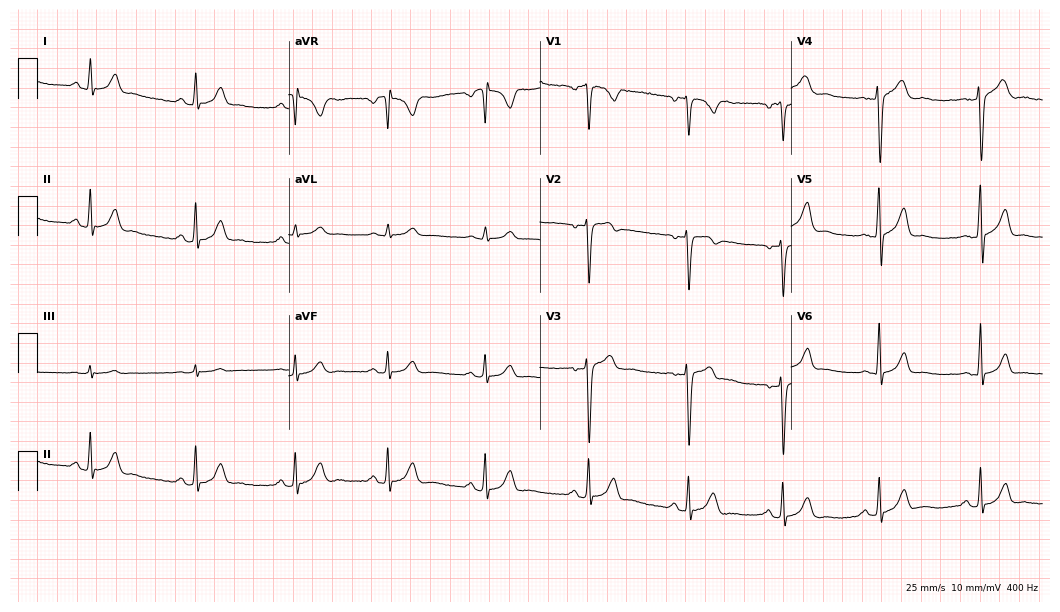
Standard 12-lead ECG recorded from a male, 35 years old (10.2-second recording at 400 Hz). Read as a normal ECG.